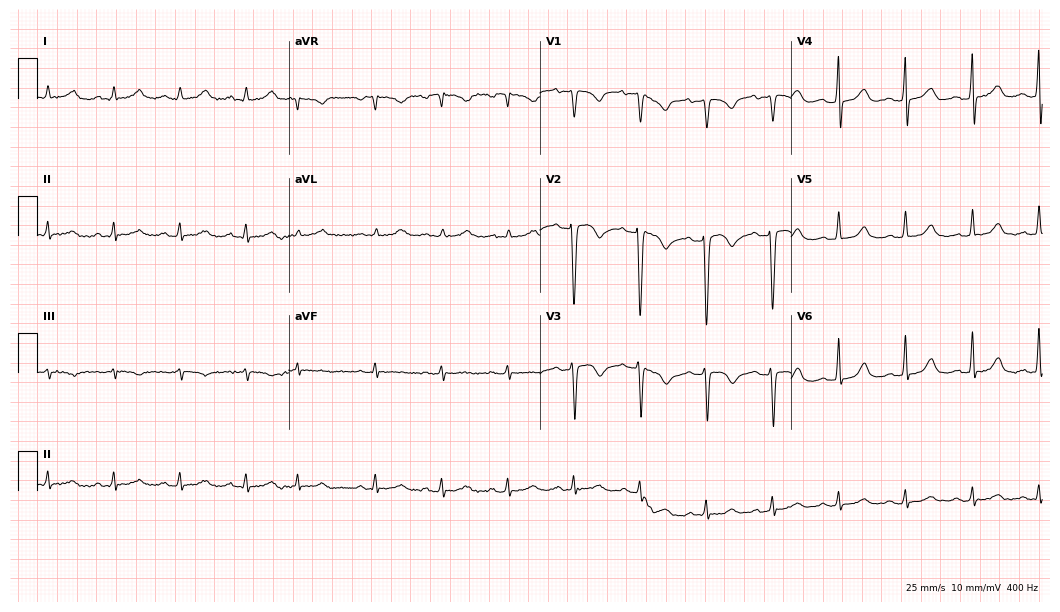
ECG (10.2-second recording at 400 Hz) — a 44-year-old woman. Screened for six findings — first-degree AV block, right bundle branch block, left bundle branch block, sinus bradycardia, atrial fibrillation, sinus tachycardia — none is recorded. Only these six findings were labelled.